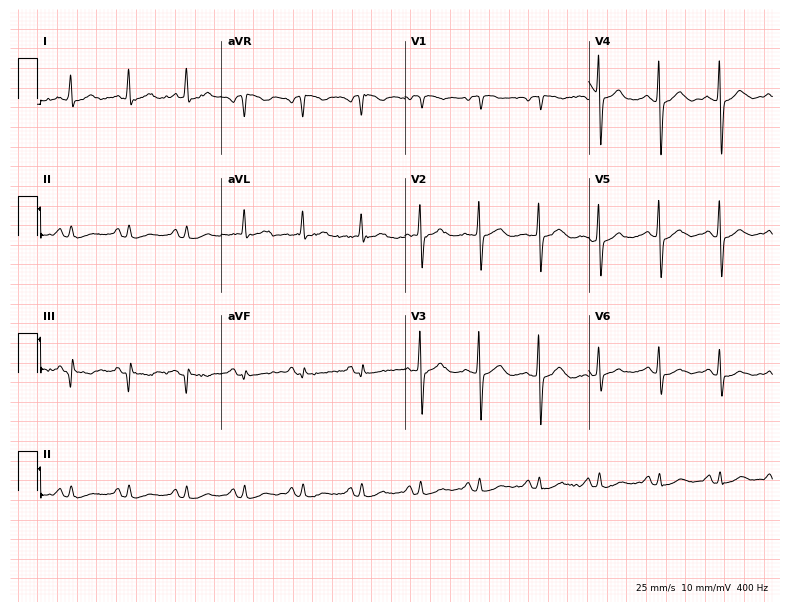
Resting 12-lead electrocardiogram. Patient: a 66-year-old female. The tracing shows sinus tachycardia (a sinus rate of 100 beats per minute or more).